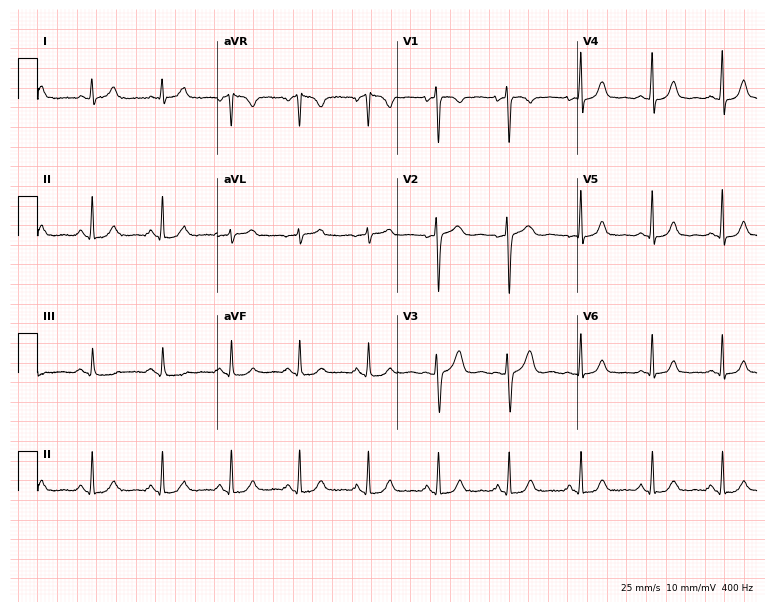
12-lead ECG from a 42-year-old female. Labelled as a normal ECG.